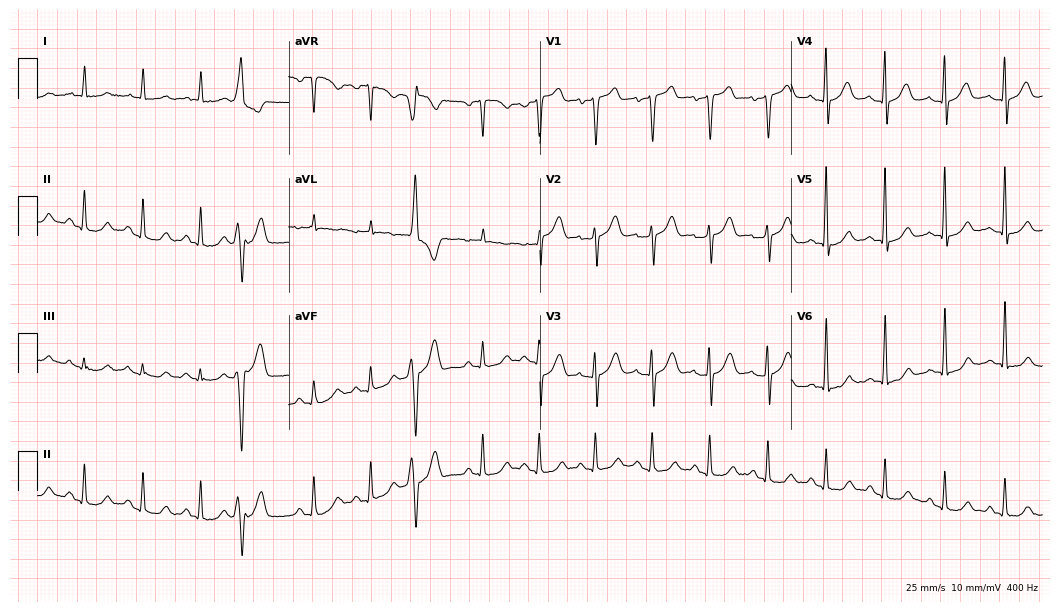
Electrocardiogram (10.2-second recording at 400 Hz), a 75-year-old male. Of the six screened findings (first-degree AV block, right bundle branch block, left bundle branch block, sinus bradycardia, atrial fibrillation, sinus tachycardia), none is recorded. Only these six findings were labelled.